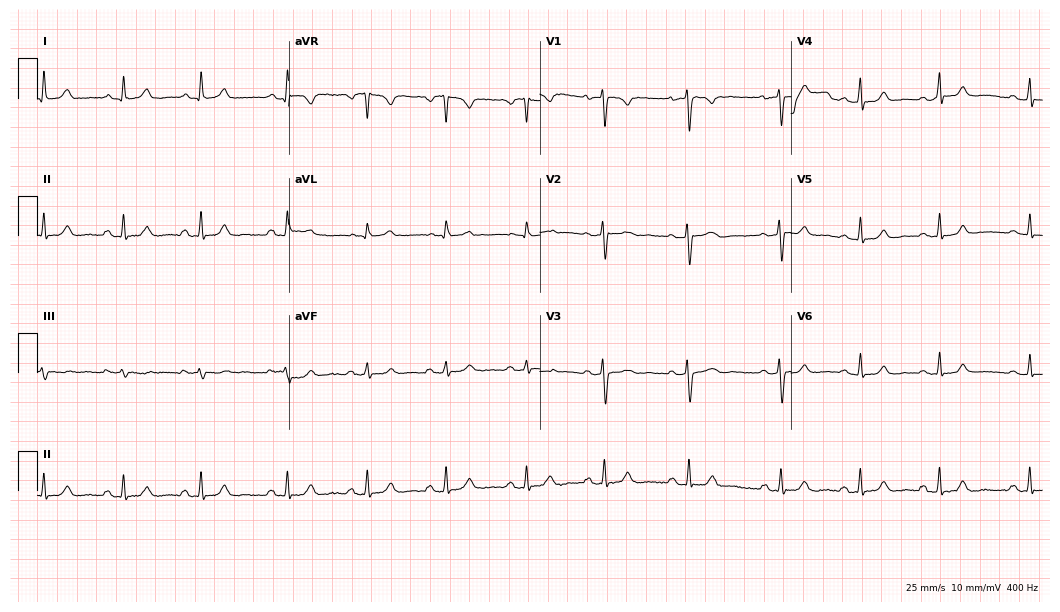
12-lead ECG (10.2-second recording at 400 Hz) from a 26-year-old woman. Labelled as a normal ECG.